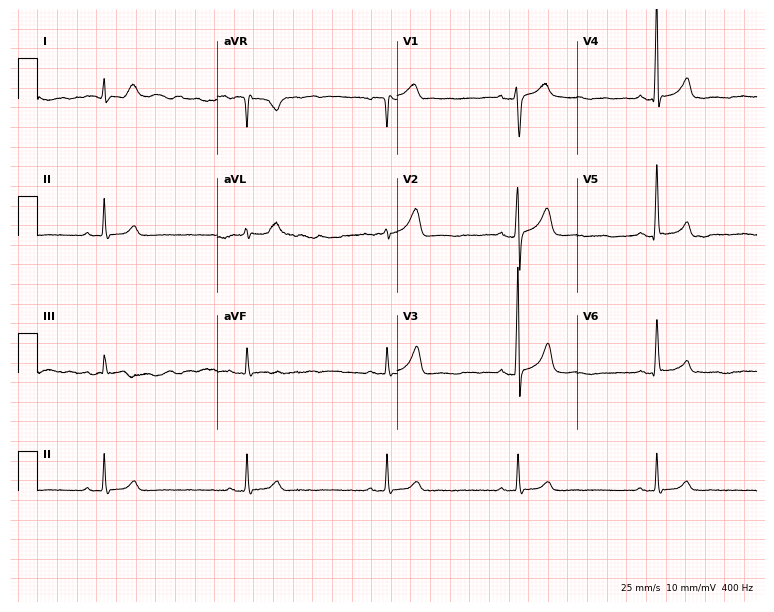
Electrocardiogram (7.3-second recording at 400 Hz), a 52-year-old man. Interpretation includes sinus bradycardia (a sinus rate of 50 beats per minute or less).